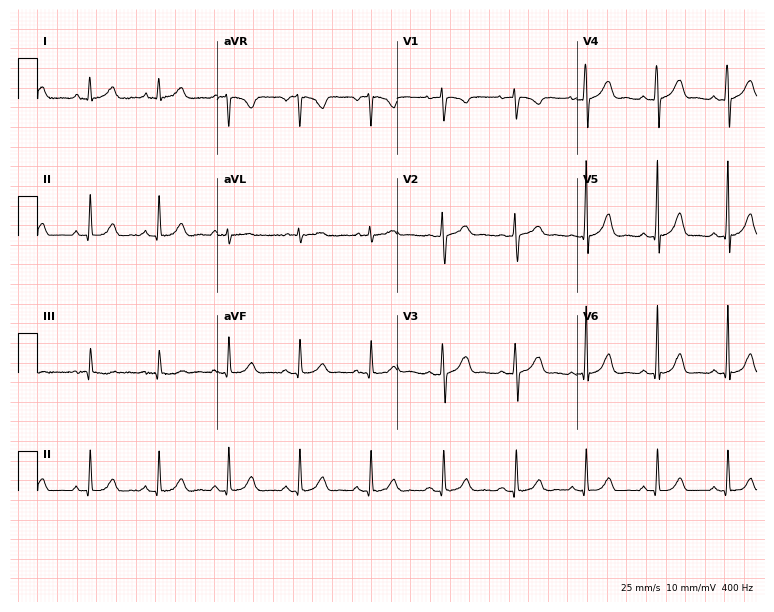
12-lead ECG from a 33-year-old female (7.3-second recording at 400 Hz). No first-degree AV block, right bundle branch block (RBBB), left bundle branch block (LBBB), sinus bradycardia, atrial fibrillation (AF) or sinus tachycardia recorded for this tracing. Findings outside these six are not listed.